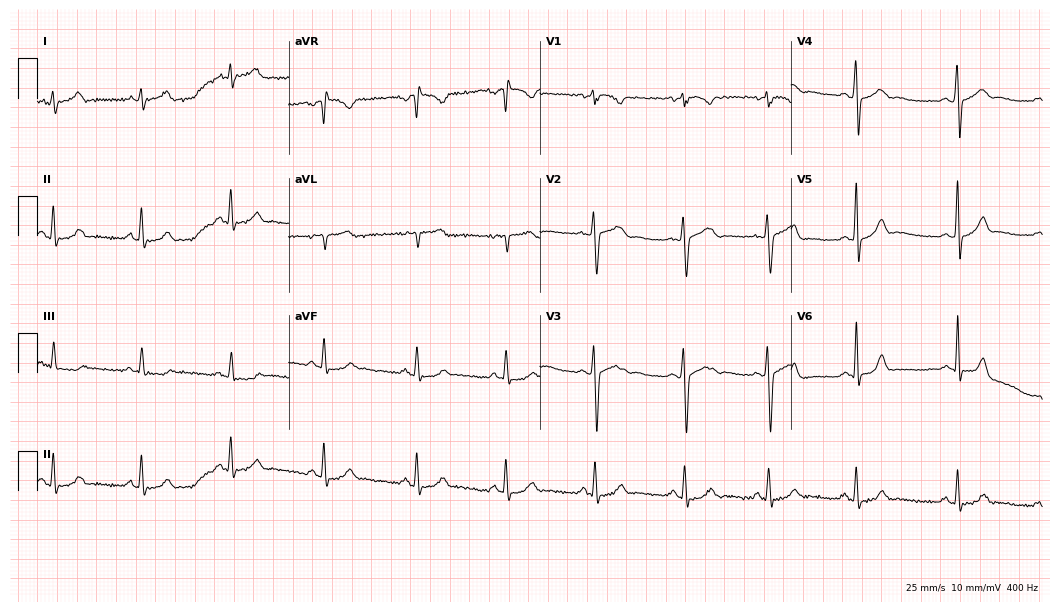
Resting 12-lead electrocardiogram. Patient: a 26-year-old female. Read as a normal ECG.